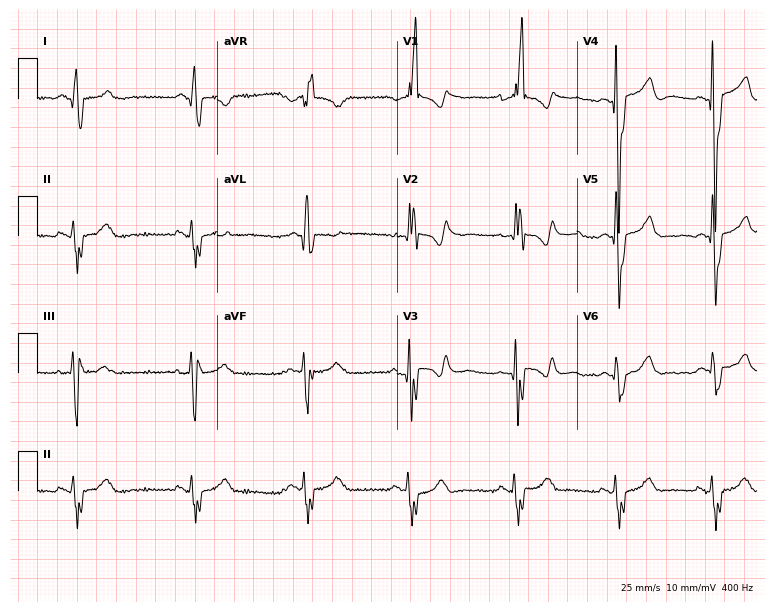
Resting 12-lead electrocardiogram. Patient: a man, 75 years old. The tracing shows right bundle branch block (RBBB).